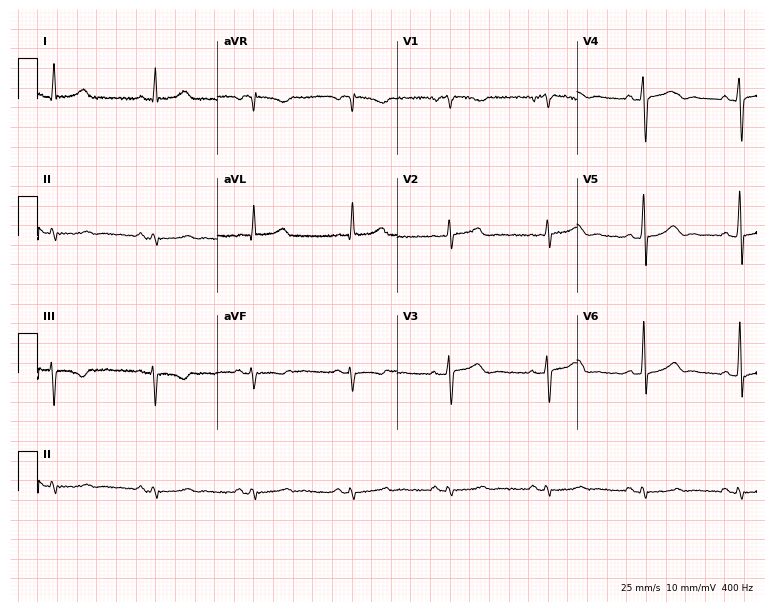
Standard 12-lead ECG recorded from a 58-year-old male patient. Read as a normal ECG.